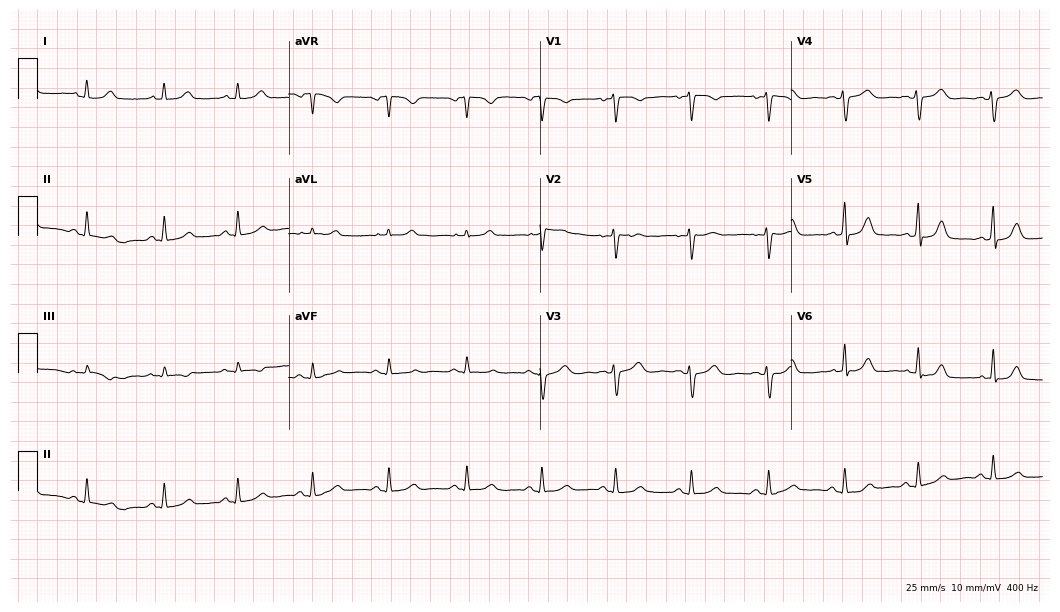
Electrocardiogram (10.2-second recording at 400 Hz), a female, 43 years old. Of the six screened findings (first-degree AV block, right bundle branch block (RBBB), left bundle branch block (LBBB), sinus bradycardia, atrial fibrillation (AF), sinus tachycardia), none is recorded. Only these six findings were labelled.